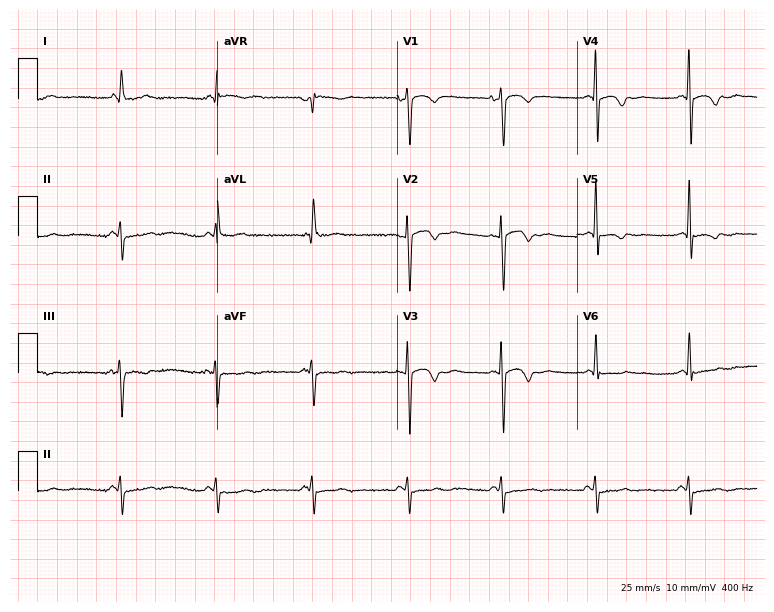
Standard 12-lead ECG recorded from a male, 74 years old (7.3-second recording at 400 Hz). None of these six findings is recorded: first-degree AV block, right bundle branch block, left bundle branch block, sinus bradycardia, atrial fibrillation, sinus tachycardia. Other findings, if any, are not listed.